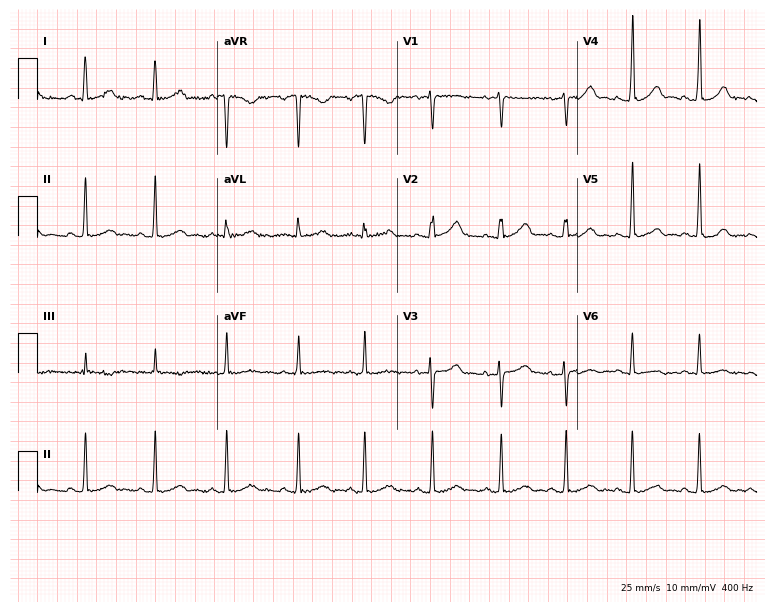
12-lead ECG (7.3-second recording at 400 Hz) from a 40-year-old female. Screened for six findings — first-degree AV block, right bundle branch block, left bundle branch block, sinus bradycardia, atrial fibrillation, sinus tachycardia — none is recorded. Only these six findings were labelled.